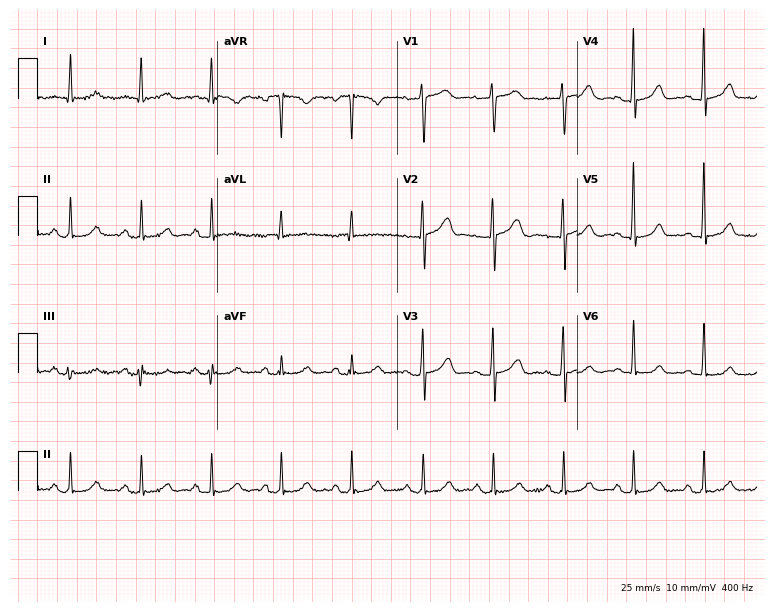
12-lead ECG from a female patient, 77 years old (7.3-second recording at 400 Hz). Recorded interpretation: within normal limits.